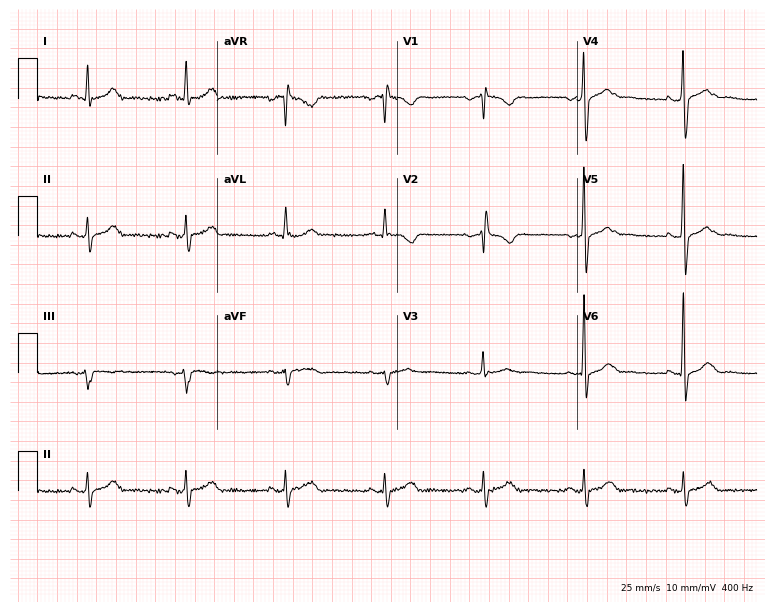
Resting 12-lead electrocardiogram (7.3-second recording at 400 Hz). Patient: a 61-year-old male. None of these six findings is recorded: first-degree AV block, right bundle branch block (RBBB), left bundle branch block (LBBB), sinus bradycardia, atrial fibrillation (AF), sinus tachycardia.